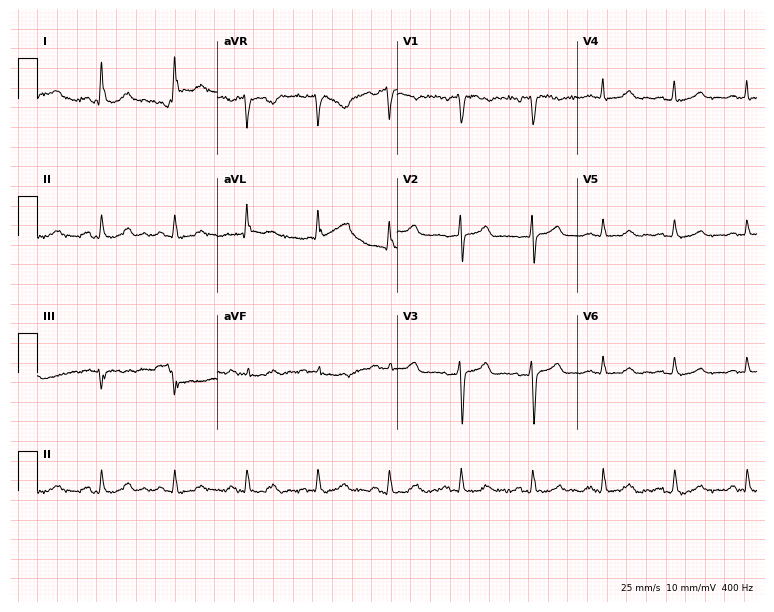
ECG (7.3-second recording at 400 Hz) — a female patient, 81 years old. Screened for six findings — first-degree AV block, right bundle branch block, left bundle branch block, sinus bradycardia, atrial fibrillation, sinus tachycardia — none is recorded.